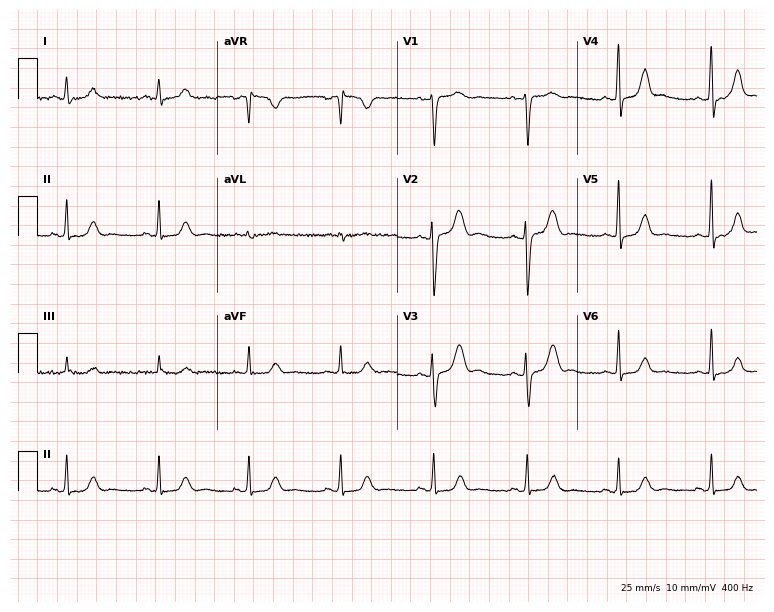
Resting 12-lead electrocardiogram. Patient: a 37-year-old female. None of these six findings is recorded: first-degree AV block, right bundle branch block, left bundle branch block, sinus bradycardia, atrial fibrillation, sinus tachycardia. Findings outside these six are not listed.